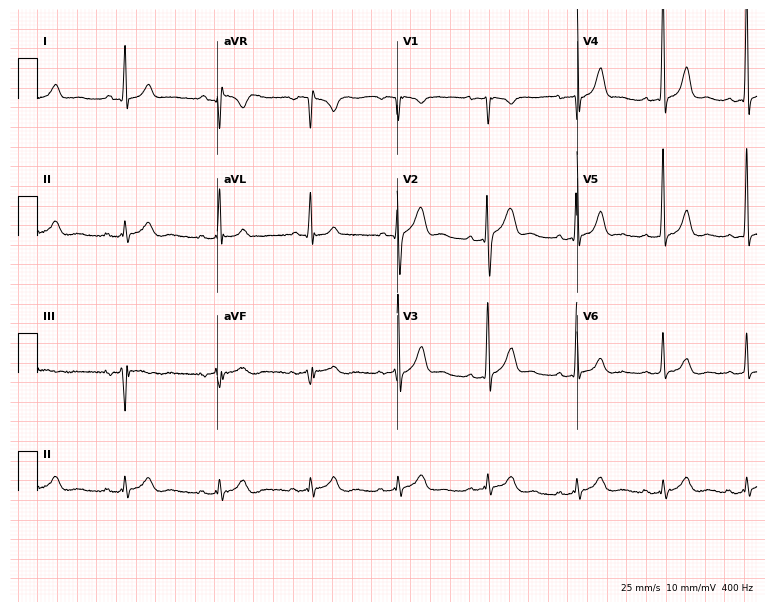
12-lead ECG from a male patient, 25 years old (7.3-second recording at 400 Hz). Recorded interpretation: within normal limits.